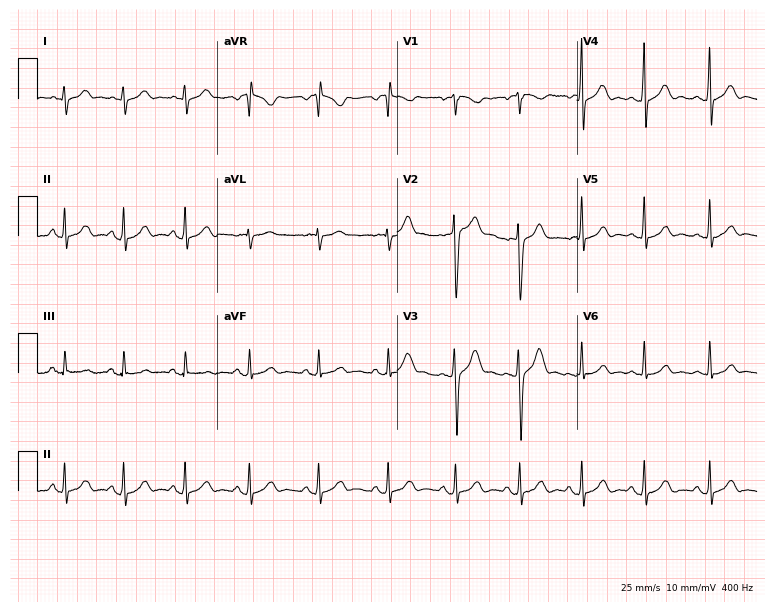
Electrocardiogram (7.3-second recording at 400 Hz), a 27-year-old male patient. Overall reading on record: normal ECG.